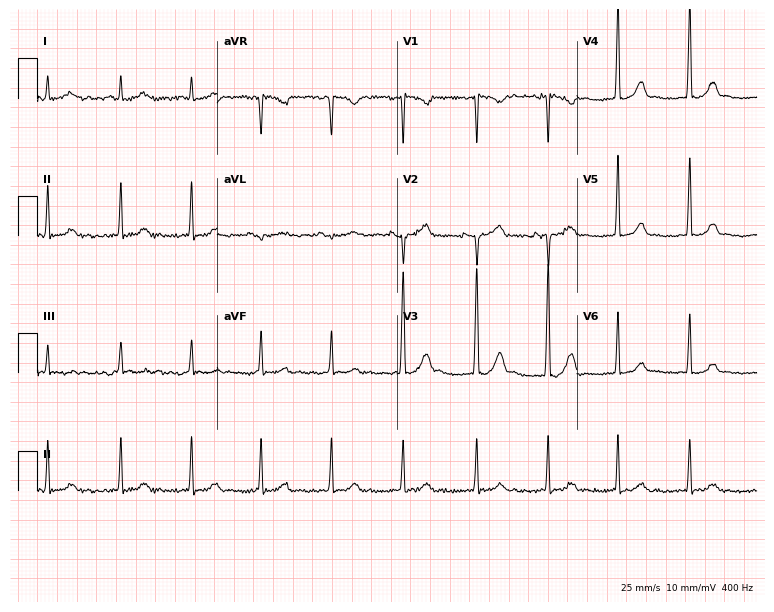
12-lead ECG (7.3-second recording at 400 Hz) from a 24-year-old female. Screened for six findings — first-degree AV block, right bundle branch block, left bundle branch block, sinus bradycardia, atrial fibrillation, sinus tachycardia — none is recorded.